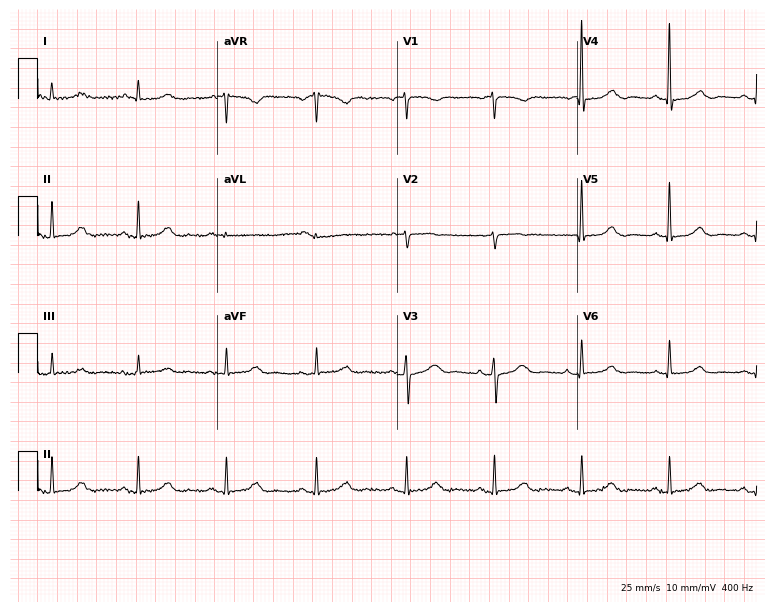
Resting 12-lead electrocardiogram. Patient: a woman, 76 years old. Read as a normal ECG.